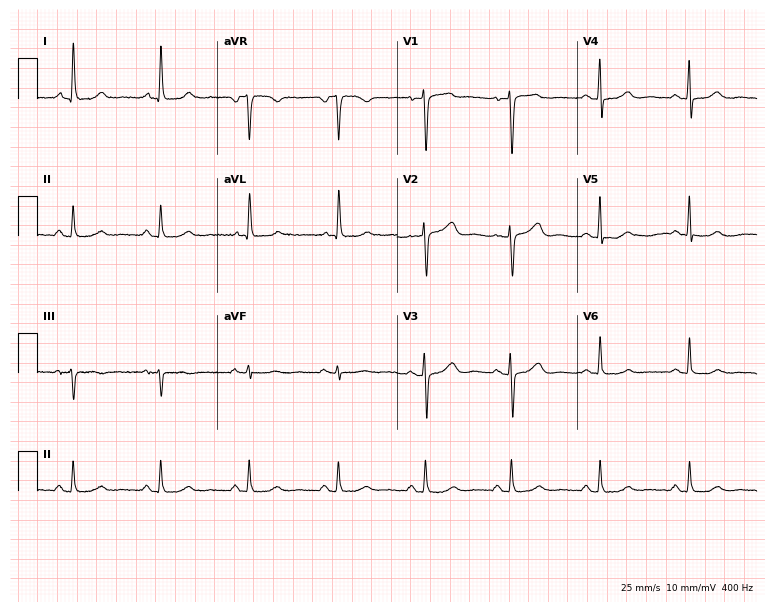
Electrocardiogram, a female, 65 years old. Overall reading on record: normal ECG.